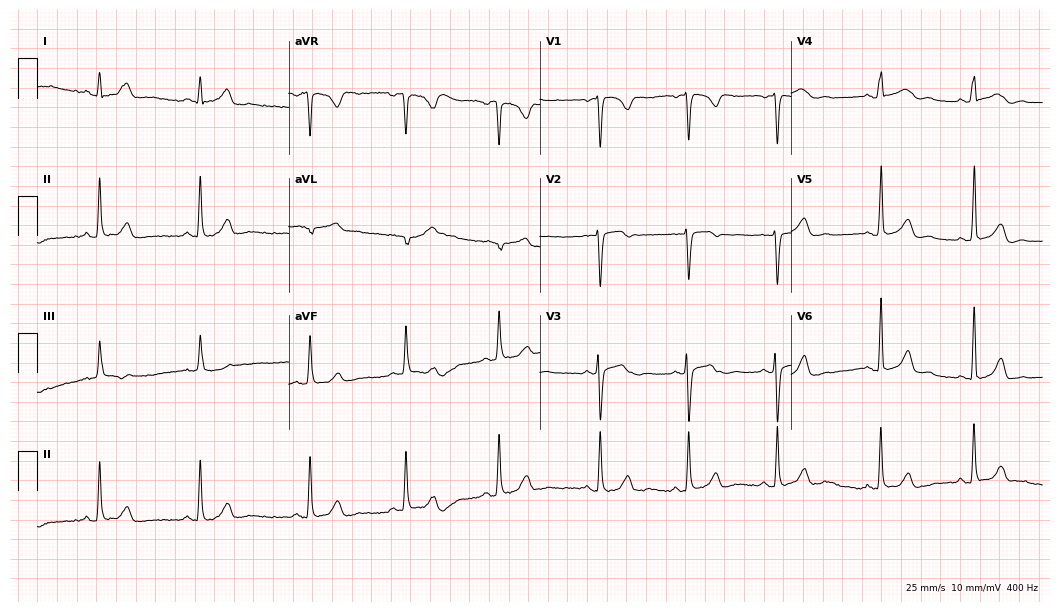
ECG — a woman, 32 years old. Labelled as a normal ECG.